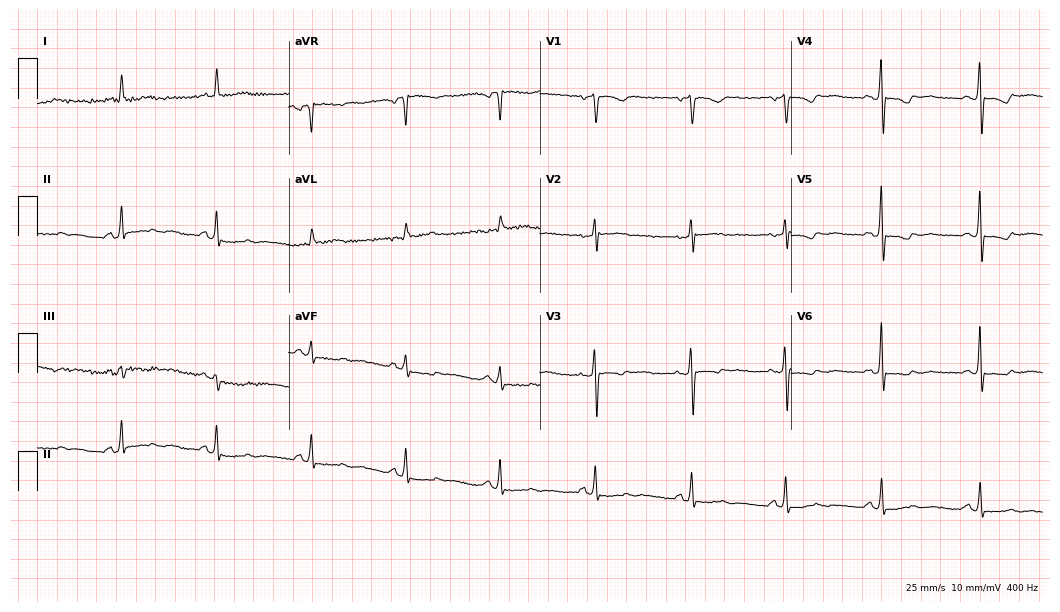
Standard 12-lead ECG recorded from a female patient, 62 years old (10.2-second recording at 400 Hz). None of these six findings is recorded: first-degree AV block, right bundle branch block (RBBB), left bundle branch block (LBBB), sinus bradycardia, atrial fibrillation (AF), sinus tachycardia. Findings outside these six are not listed.